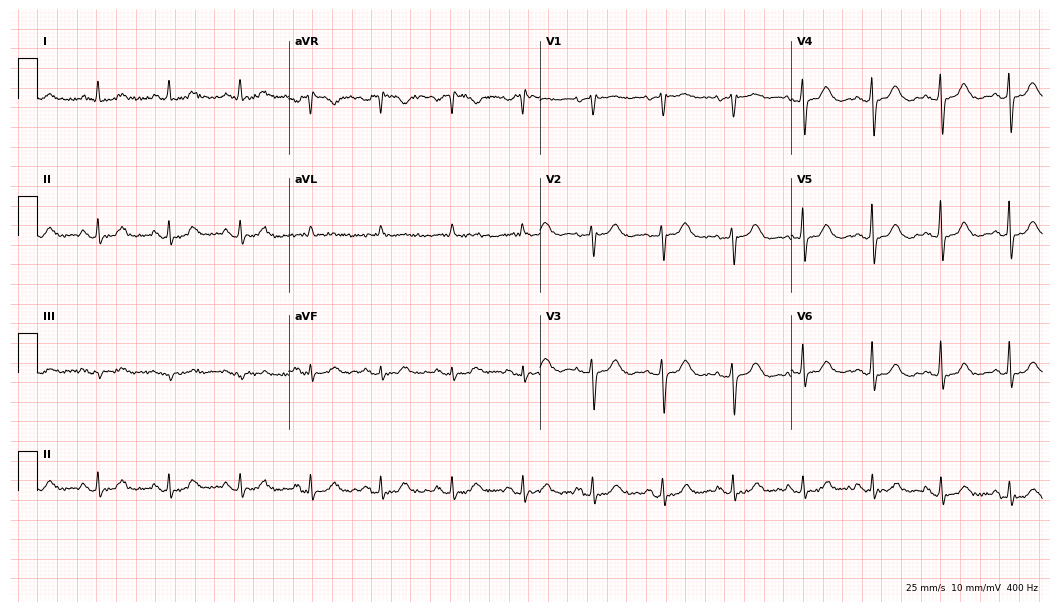
12-lead ECG from a female, 79 years old. Screened for six findings — first-degree AV block, right bundle branch block, left bundle branch block, sinus bradycardia, atrial fibrillation, sinus tachycardia — none is recorded.